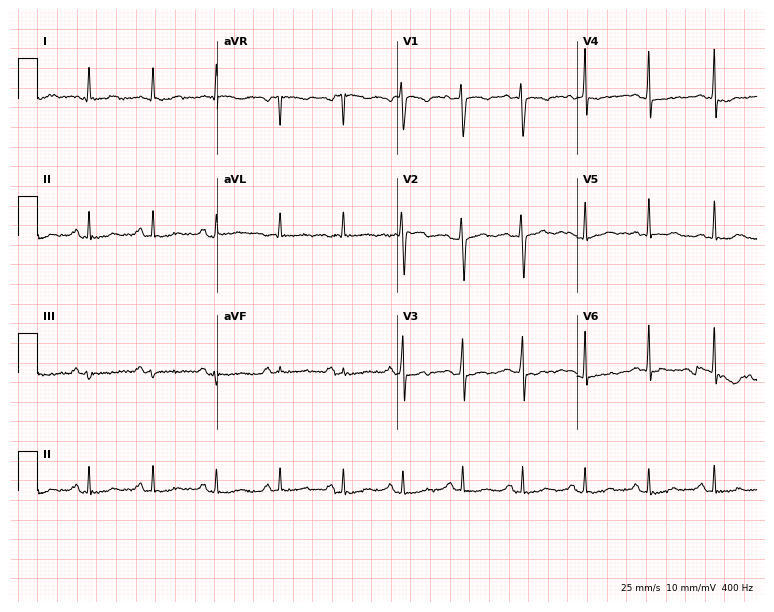
12-lead ECG (7.3-second recording at 400 Hz) from a 32-year-old female patient. Screened for six findings — first-degree AV block, right bundle branch block, left bundle branch block, sinus bradycardia, atrial fibrillation, sinus tachycardia — none is recorded. Other findings, if any, are not listed.